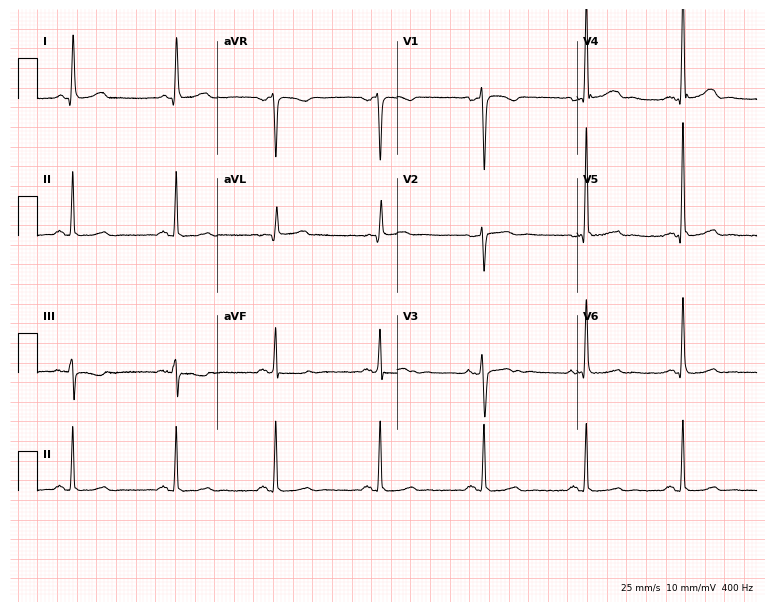
12-lead ECG from a woman, 52 years old (7.3-second recording at 400 Hz). No first-degree AV block, right bundle branch block, left bundle branch block, sinus bradycardia, atrial fibrillation or sinus tachycardia recorded for this tracing.